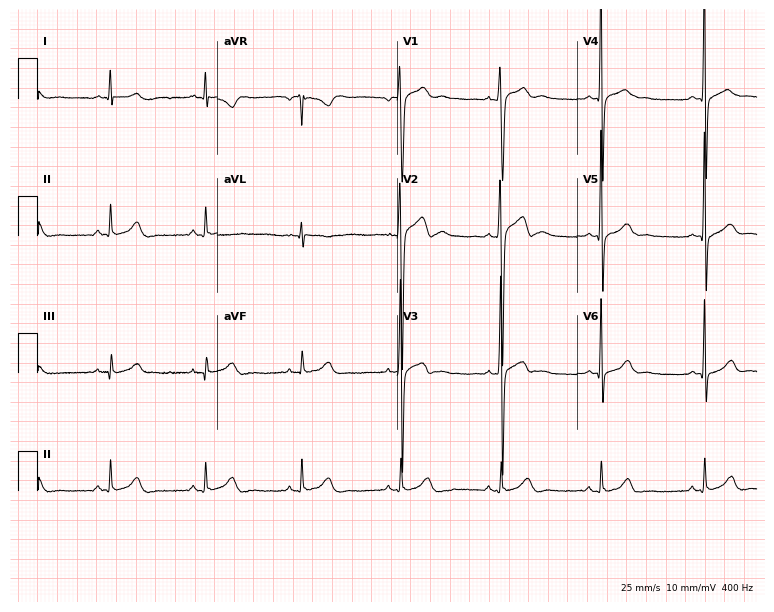
Standard 12-lead ECG recorded from a 17-year-old male patient (7.3-second recording at 400 Hz). Read as a normal ECG.